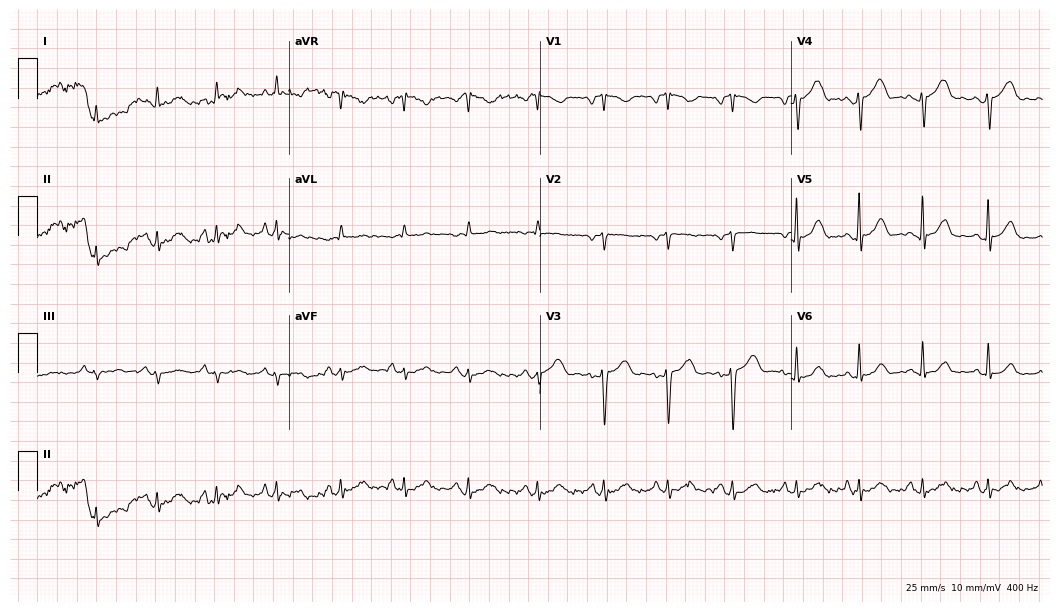
12-lead ECG from a female, 27 years old. No first-degree AV block, right bundle branch block (RBBB), left bundle branch block (LBBB), sinus bradycardia, atrial fibrillation (AF) or sinus tachycardia recorded for this tracing.